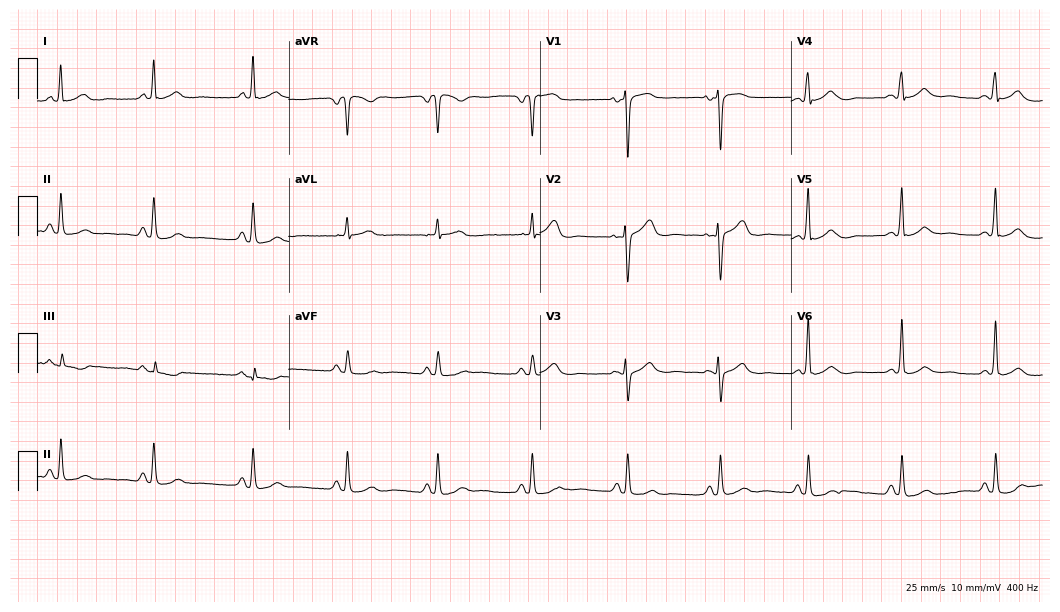
Electrocardiogram (10.2-second recording at 400 Hz), a woman, 51 years old. Overall reading on record: normal ECG.